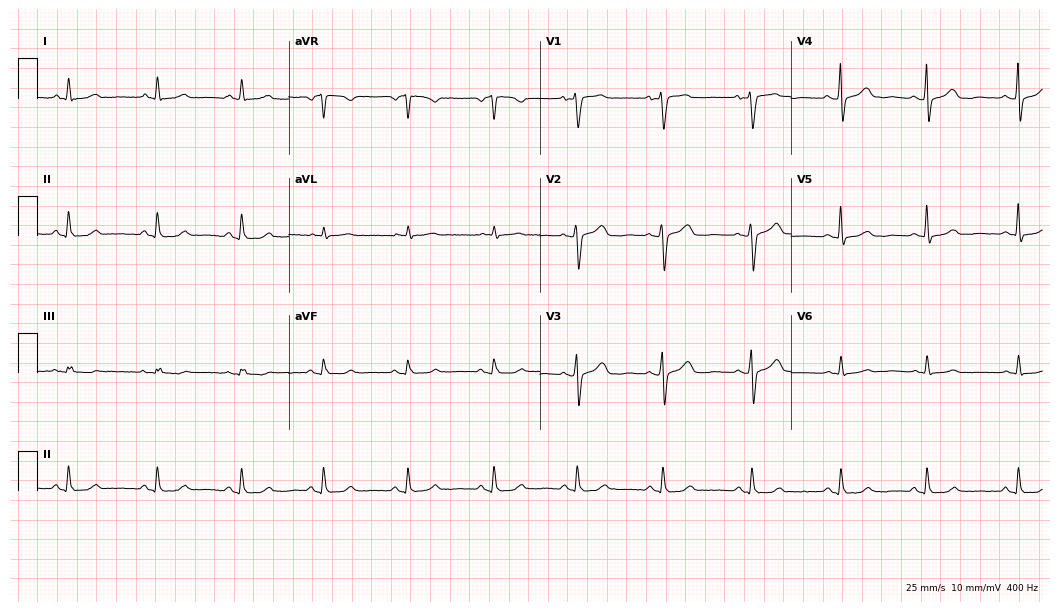
12-lead ECG (10.2-second recording at 400 Hz) from a woman, 52 years old. Screened for six findings — first-degree AV block, right bundle branch block (RBBB), left bundle branch block (LBBB), sinus bradycardia, atrial fibrillation (AF), sinus tachycardia — none is recorded.